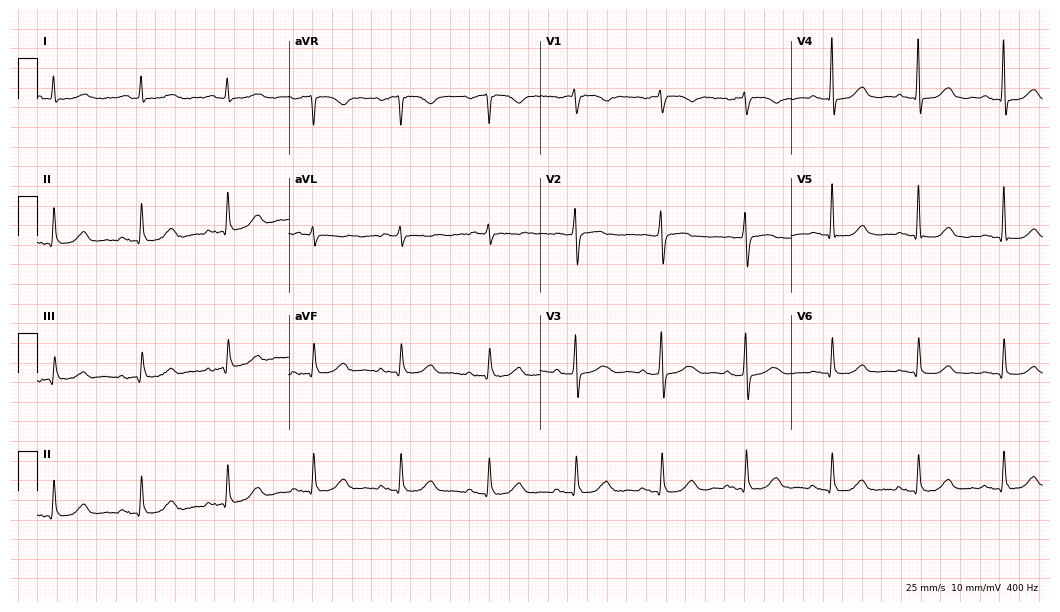
ECG (10.2-second recording at 400 Hz) — a female patient, 82 years old. Screened for six findings — first-degree AV block, right bundle branch block (RBBB), left bundle branch block (LBBB), sinus bradycardia, atrial fibrillation (AF), sinus tachycardia — none is recorded.